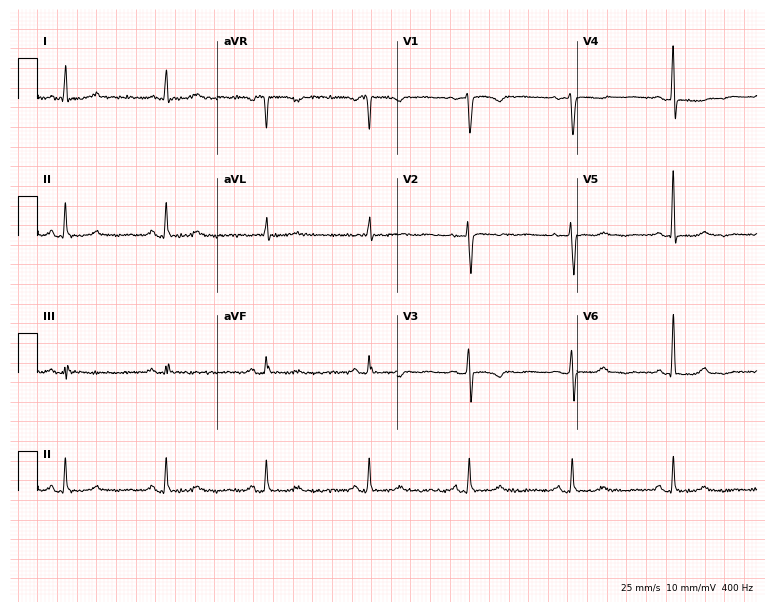
ECG — a 68-year-old female. Screened for six findings — first-degree AV block, right bundle branch block (RBBB), left bundle branch block (LBBB), sinus bradycardia, atrial fibrillation (AF), sinus tachycardia — none is recorded. Findings outside these six are not listed.